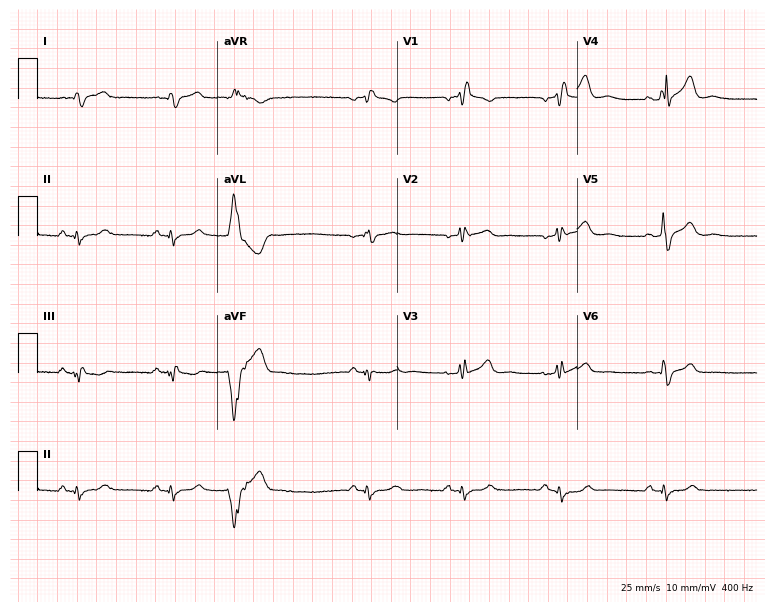
ECG (7.3-second recording at 400 Hz) — a man, 53 years old. Findings include right bundle branch block (RBBB).